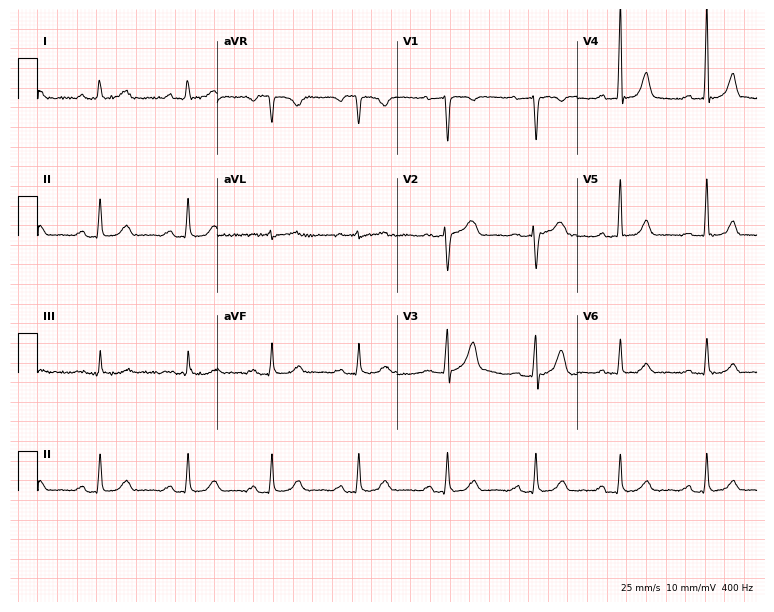
ECG — a female, 34 years old. Findings include first-degree AV block.